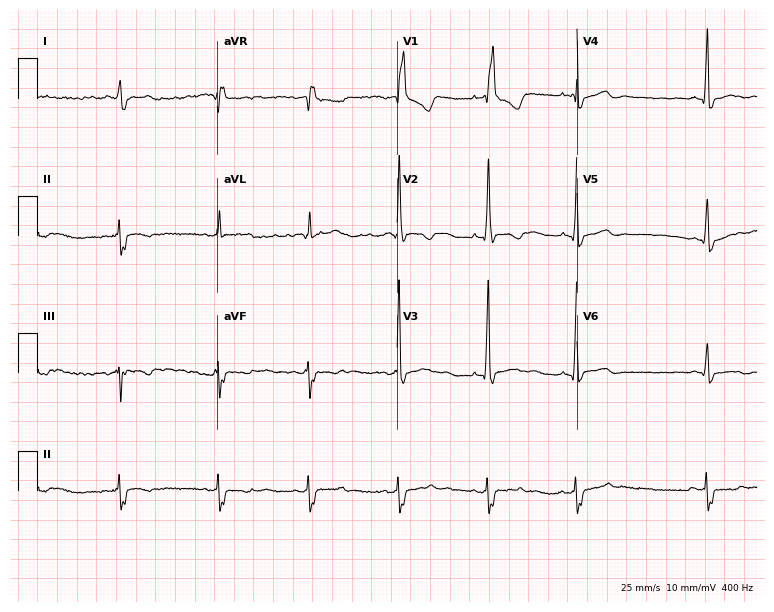
Electrocardiogram (7.3-second recording at 400 Hz), a 53-year-old man. Of the six screened findings (first-degree AV block, right bundle branch block, left bundle branch block, sinus bradycardia, atrial fibrillation, sinus tachycardia), none is recorded. Findings outside these six are not listed.